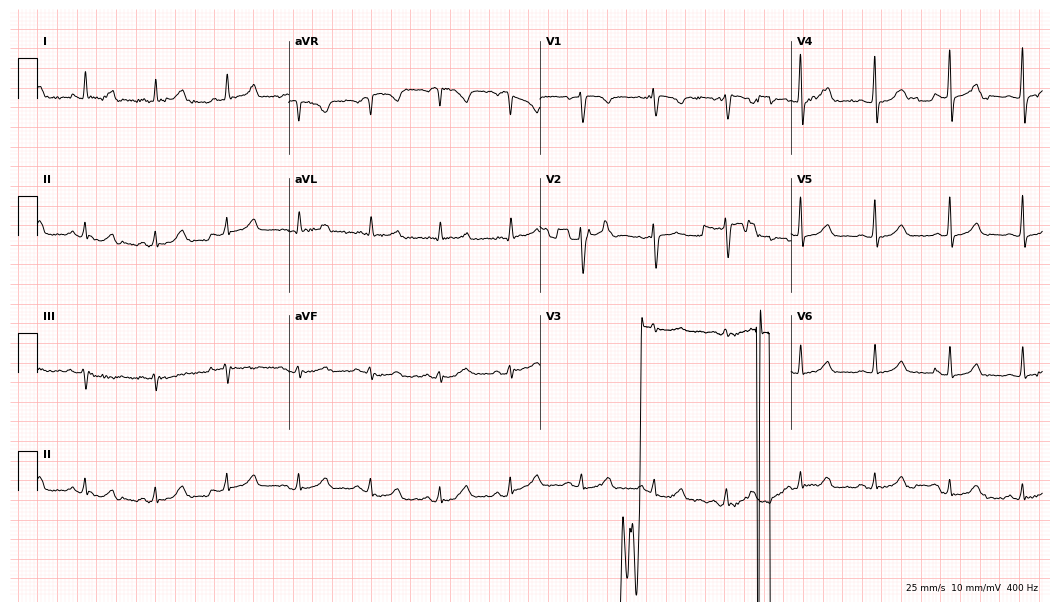
12-lead ECG from a 40-year-old female patient (10.2-second recording at 400 Hz). No first-degree AV block, right bundle branch block, left bundle branch block, sinus bradycardia, atrial fibrillation or sinus tachycardia recorded for this tracing. Findings outside these six are not listed.